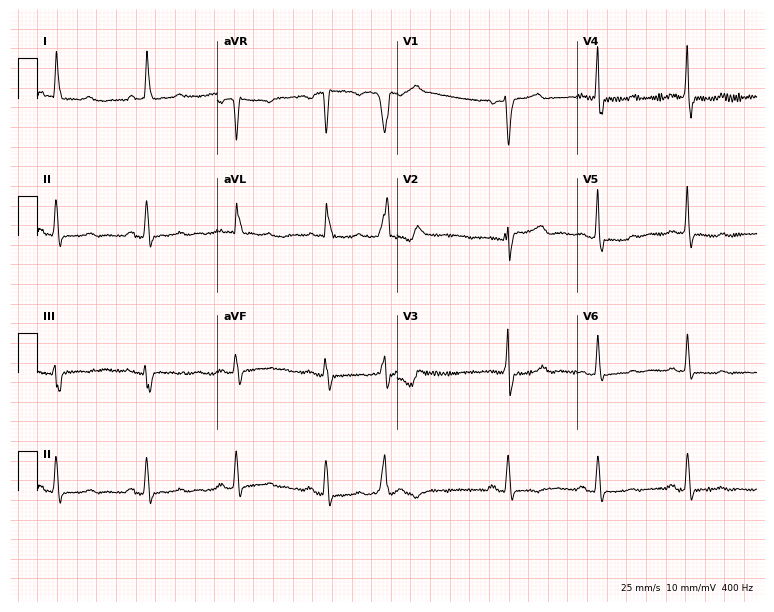
ECG — a 66-year-old woman. Screened for six findings — first-degree AV block, right bundle branch block (RBBB), left bundle branch block (LBBB), sinus bradycardia, atrial fibrillation (AF), sinus tachycardia — none is recorded. Findings outside these six are not listed.